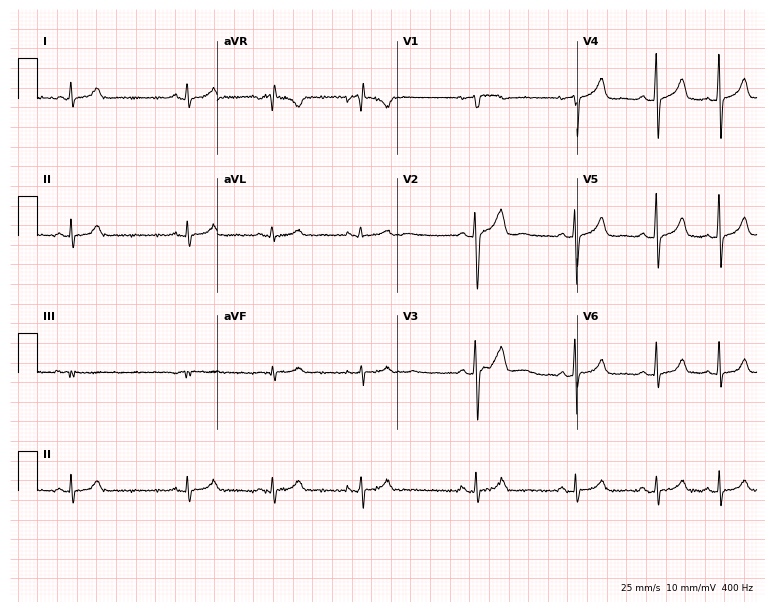
Resting 12-lead electrocardiogram (7.3-second recording at 400 Hz). Patient: a 19-year-old female. Read as a normal ECG.